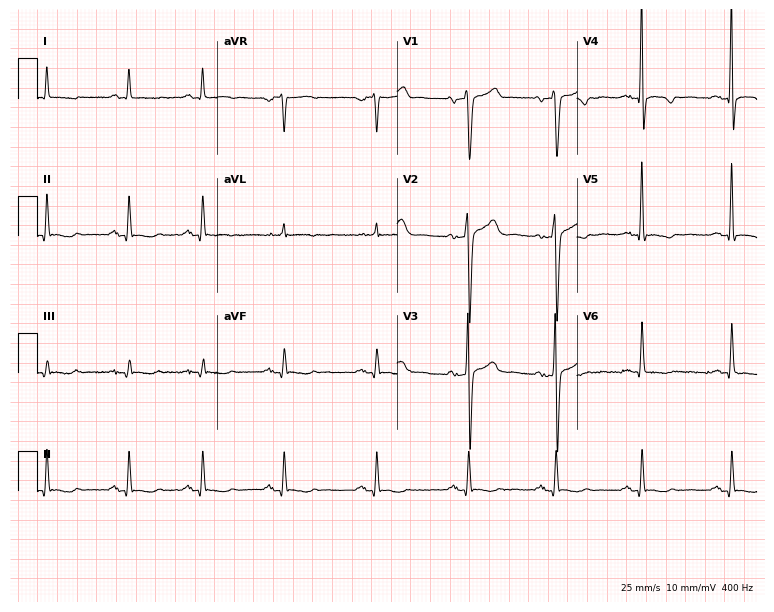
ECG — a man, 63 years old. Screened for six findings — first-degree AV block, right bundle branch block (RBBB), left bundle branch block (LBBB), sinus bradycardia, atrial fibrillation (AF), sinus tachycardia — none is recorded.